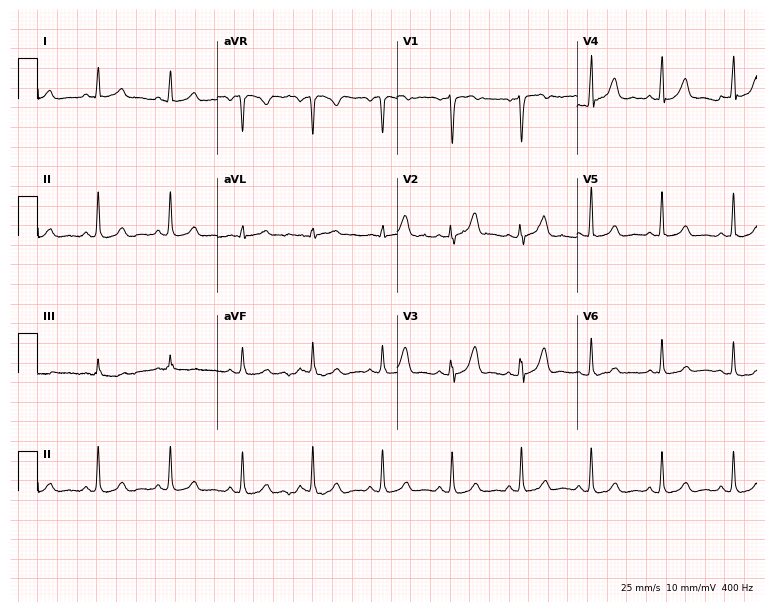
Electrocardiogram, a female patient, 35 years old. Overall reading on record: normal ECG.